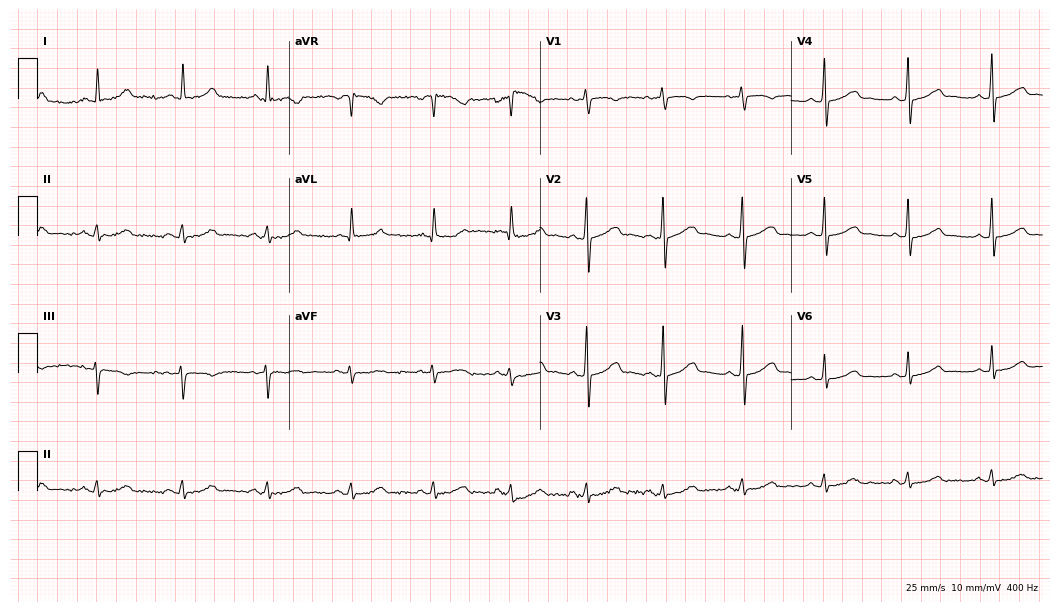
Standard 12-lead ECG recorded from a female, 50 years old (10.2-second recording at 400 Hz). Read as a normal ECG.